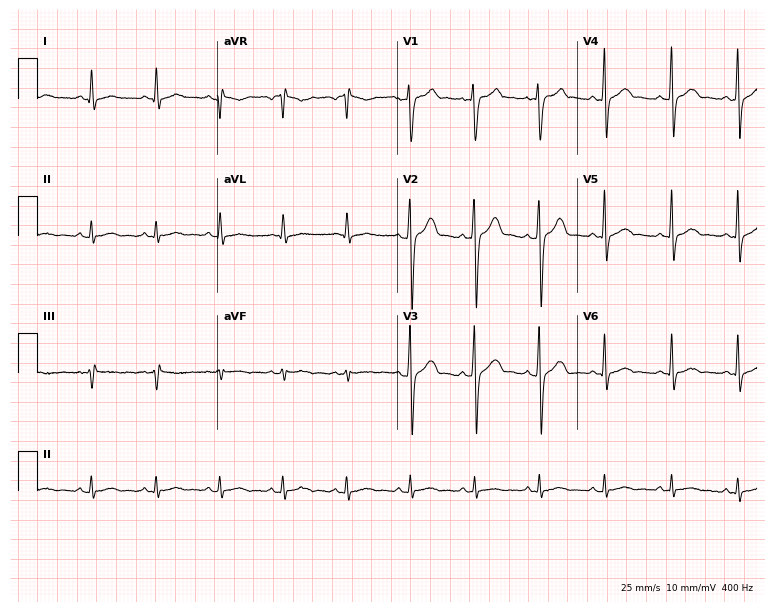
Standard 12-lead ECG recorded from a 22-year-old male patient. None of these six findings is recorded: first-degree AV block, right bundle branch block (RBBB), left bundle branch block (LBBB), sinus bradycardia, atrial fibrillation (AF), sinus tachycardia.